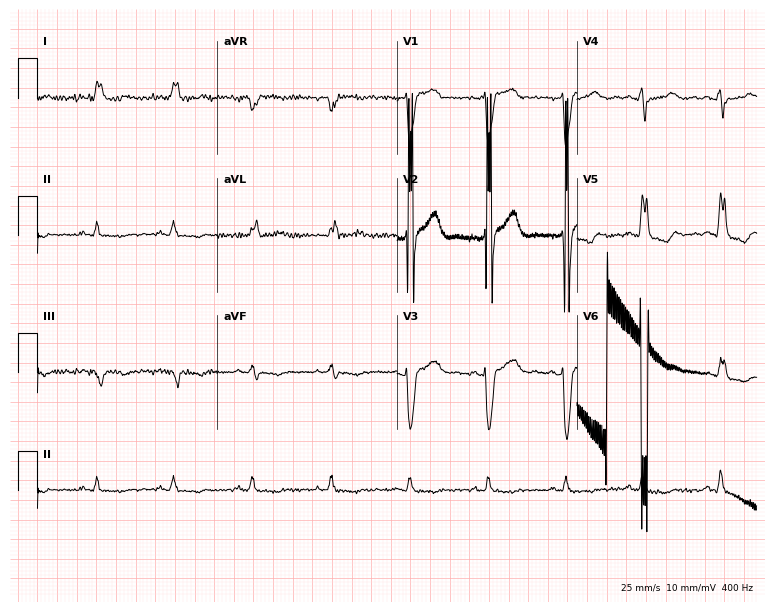
12-lead ECG from a 58-year-old female patient (7.3-second recording at 400 Hz). Shows left bundle branch block (LBBB).